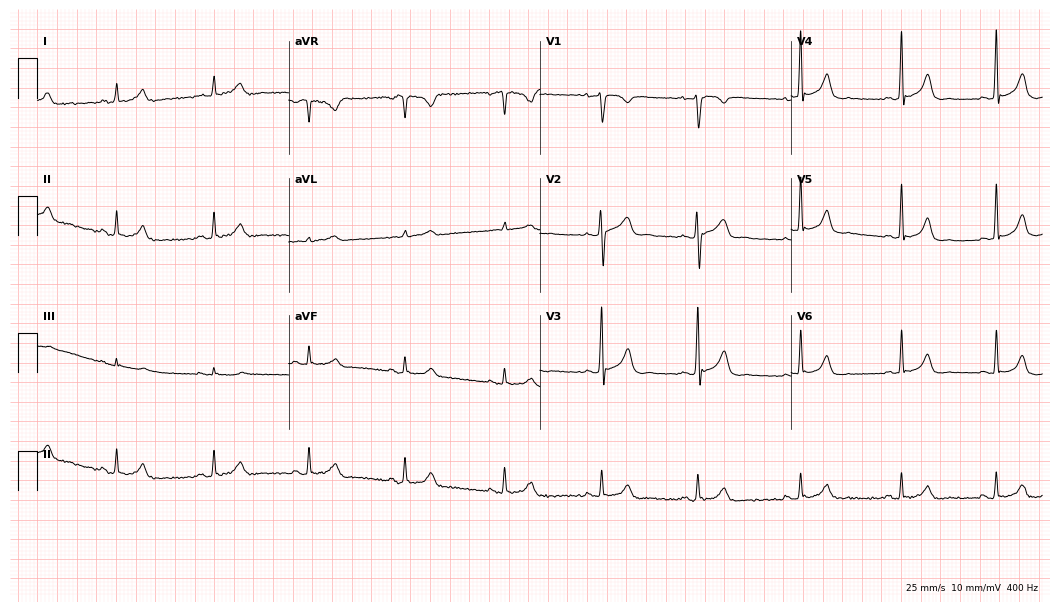
12-lead ECG from a 39-year-old male patient. Labelled as a normal ECG.